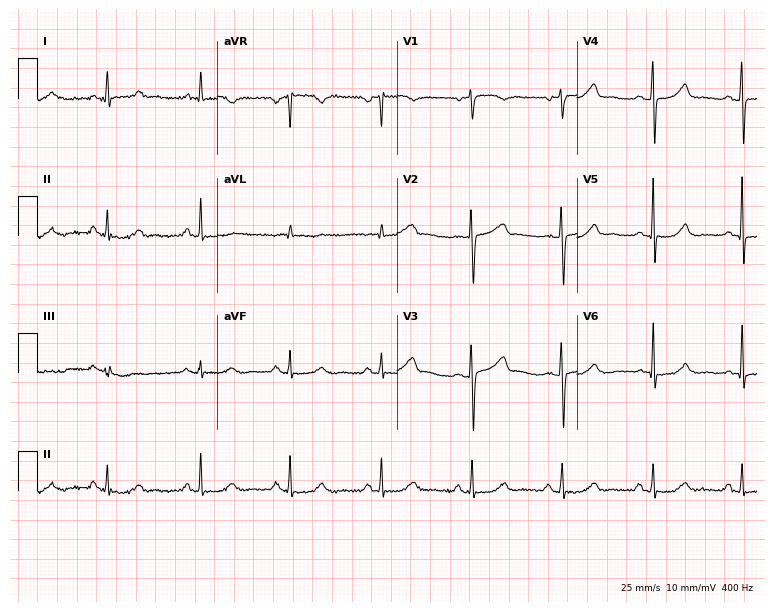
12-lead ECG (7.3-second recording at 400 Hz) from a 68-year-old man. Labelled as a normal ECG.